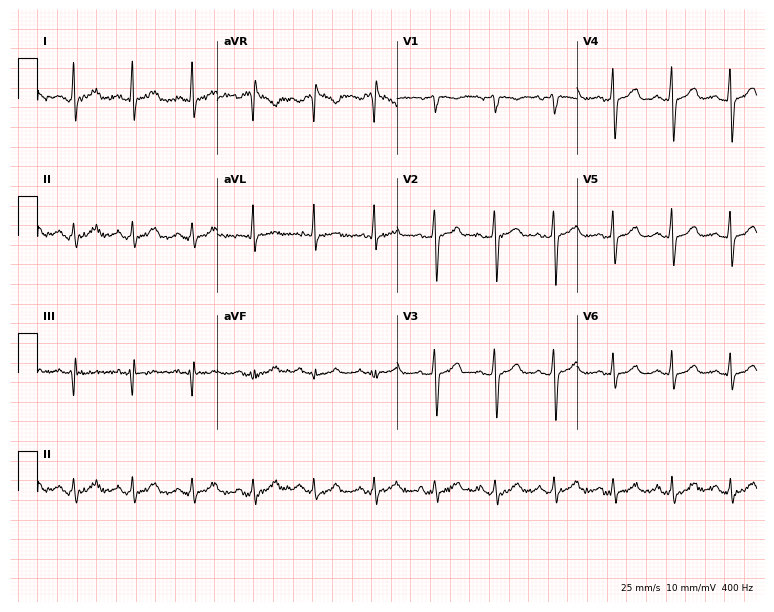
12-lead ECG from a male patient, 47 years old. Recorded interpretation: within normal limits.